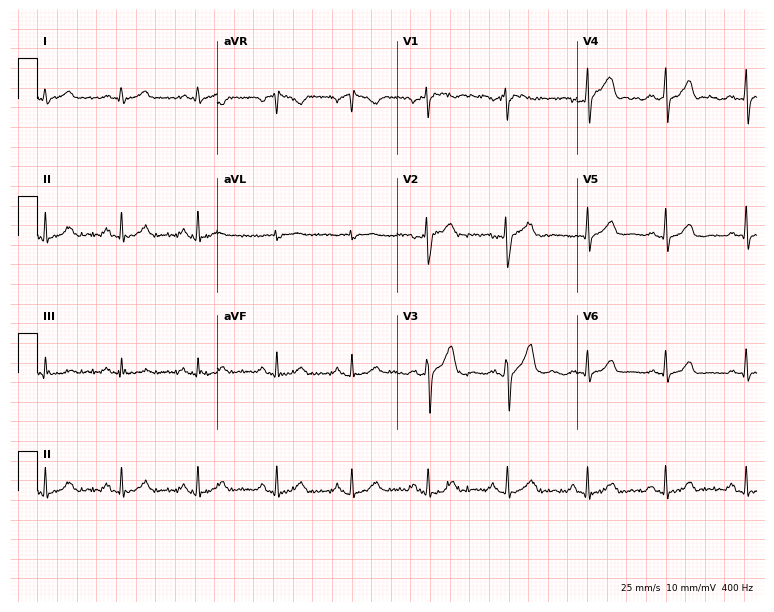
Electrocardiogram, a woman, 50 years old. Overall reading on record: normal ECG.